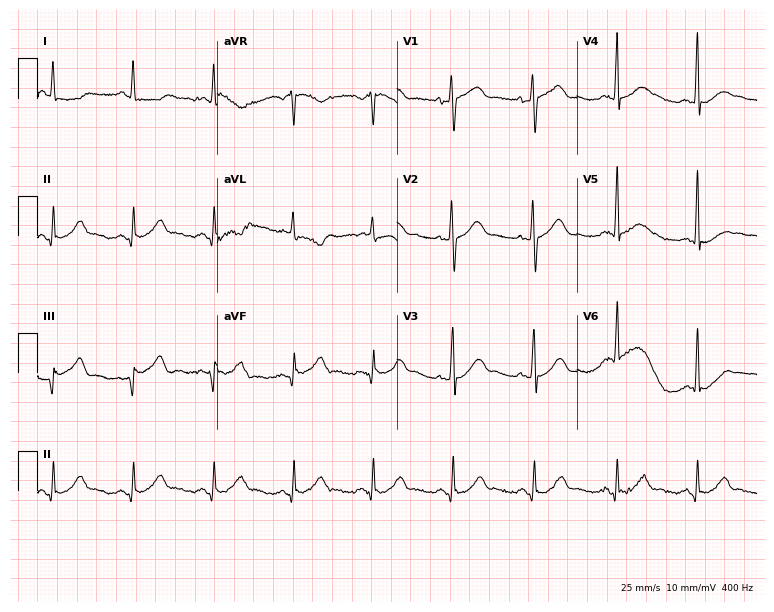
Standard 12-lead ECG recorded from a male patient, 58 years old. None of these six findings is recorded: first-degree AV block, right bundle branch block, left bundle branch block, sinus bradycardia, atrial fibrillation, sinus tachycardia. Only these six findings were labelled.